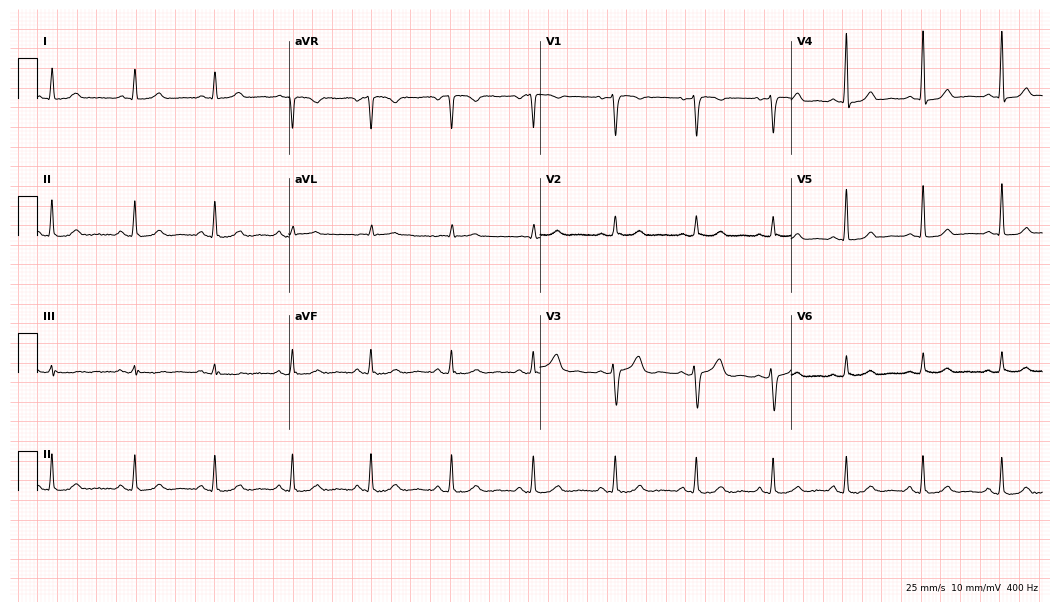
Standard 12-lead ECG recorded from a female, 40 years old. Read as a normal ECG.